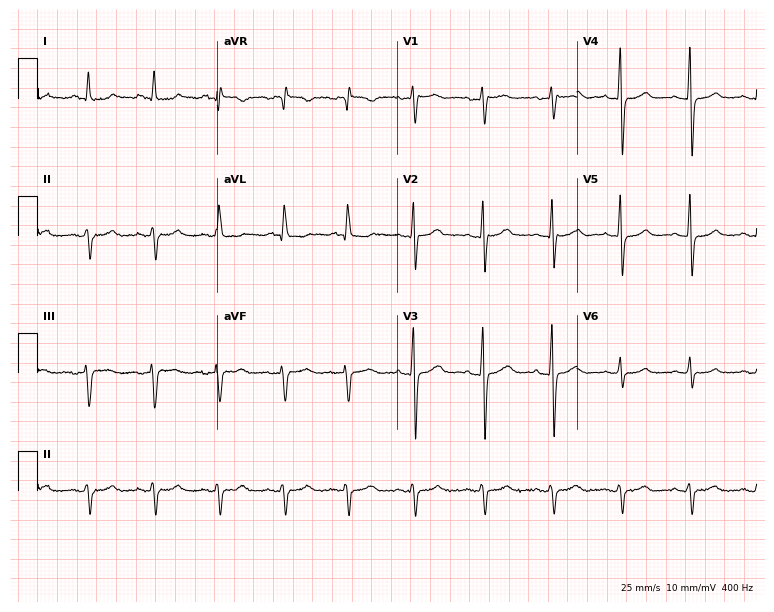
Resting 12-lead electrocardiogram (7.3-second recording at 400 Hz). Patient: a 65-year-old woman. None of these six findings is recorded: first-degree AV block, right bundle branch block (RBBB), left bundle branch block (LBBB), sinus bradycardia, atrial fibrillation (AF), sinus tachycardia.